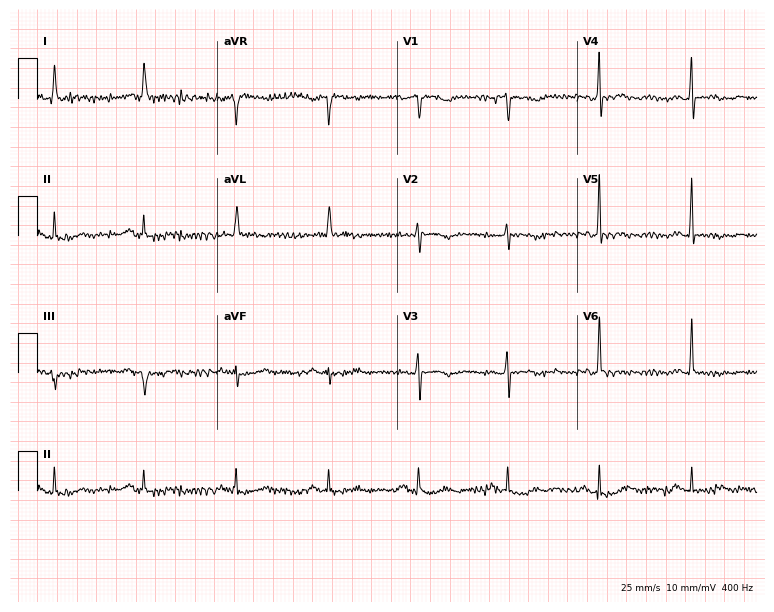
12-lead ECG from a female, 75 years old (7.3-second recording at 400 Hz). No first-degree AV block, right bundle branch block, left bundle branch block, sinus bradycardia, atrial fibrillation or sinus tachycardia recorded for this tracing.